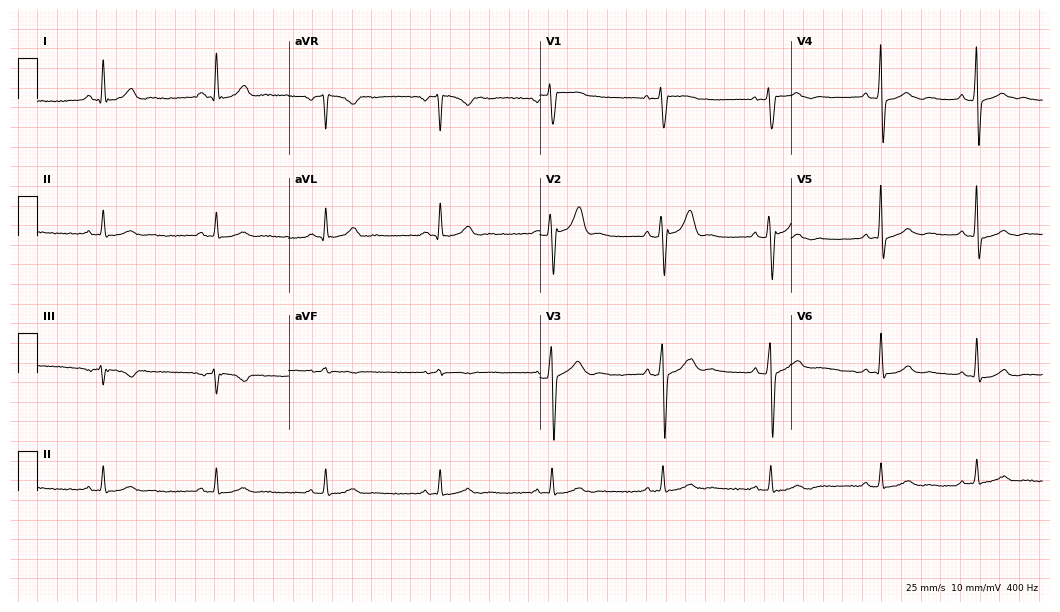
Resting 12-lead electrocardiogram. Patient: a male, 56 years old. Read as a normal ECG.